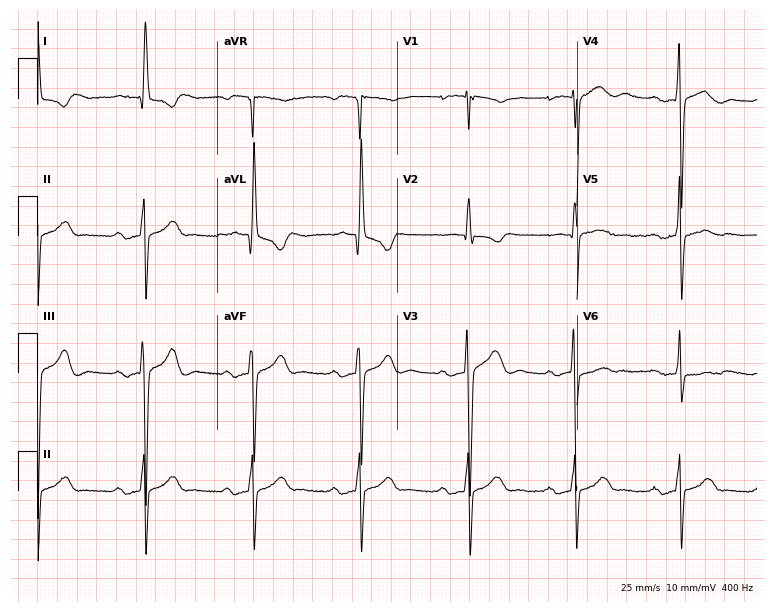
Resting 12-lead electrocardiogram (7.3-second recording at 400 Hz). Patient: a 69-year-old female. The tracing shows first-degree AV block.